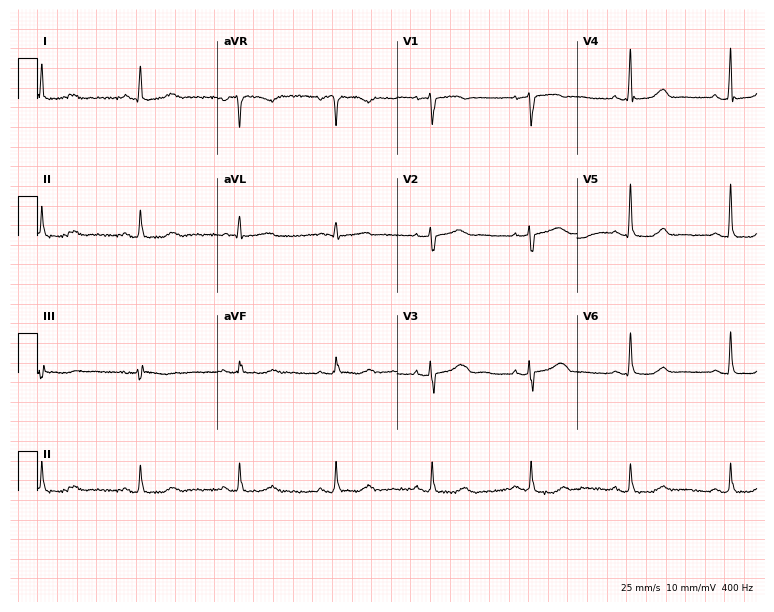
ECG (7.3-second recording at 400 Hz) — an 80-year-old female. Labelled as a normal ECG.